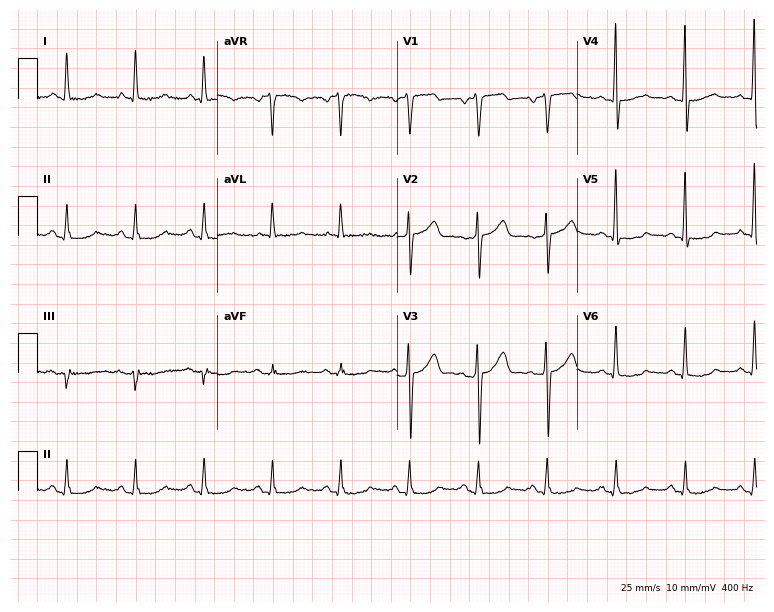
Standard 12-lead ECG recorded from a 60-year-old male. None of these six findings is recorded: first-degree AV block, right bundle branch block (RBBB), left bundle branch block (LBBB), sinus bradycardia, atrial fibrillation (AF), sinus tachycardia.